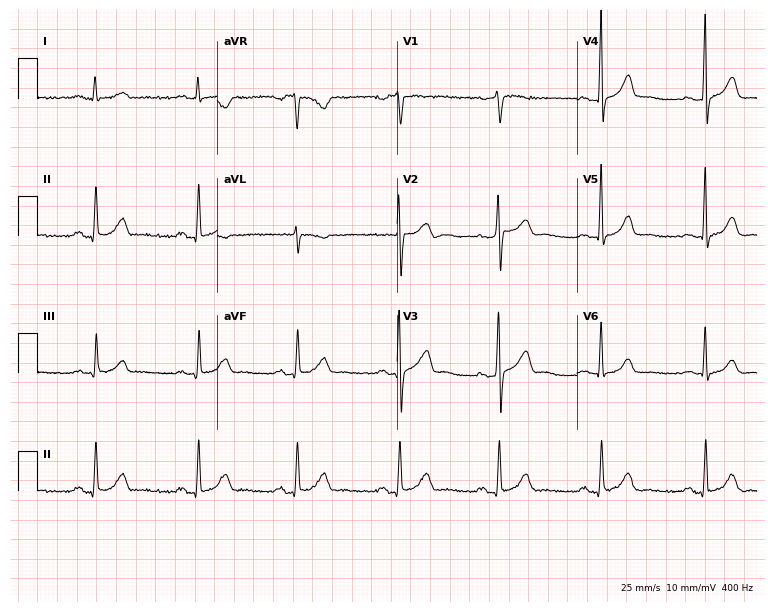
Standard 12-lead ECG recorded from a male, 55 years old. None of these six findings is recorded: first-degree AV block, right bundle branch block (RBBB), left bundle branch block (LBBB), sinus bradycardia, atrial fibrillation (AF), sinus tachycardia.